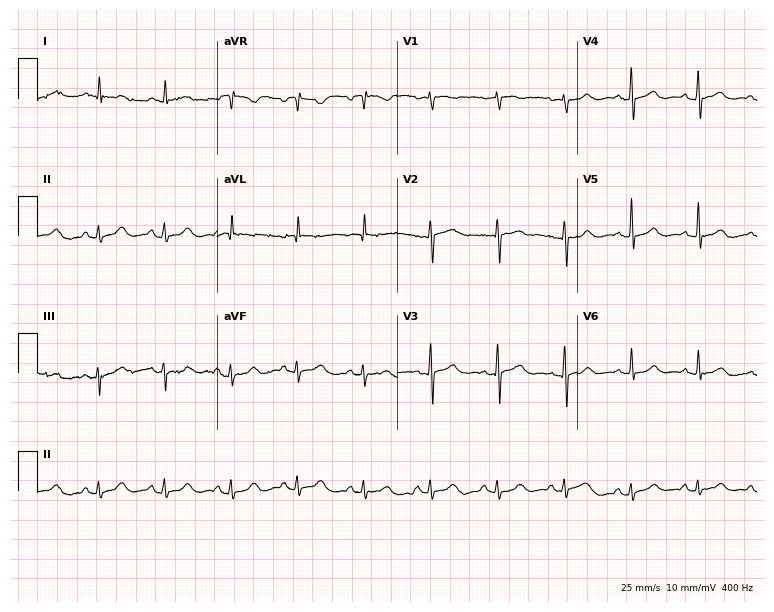
12-lead ECG from a female patient, 79 years old (7.3-second recording at 400 Hz). Recorded interpretation: within normal limits.